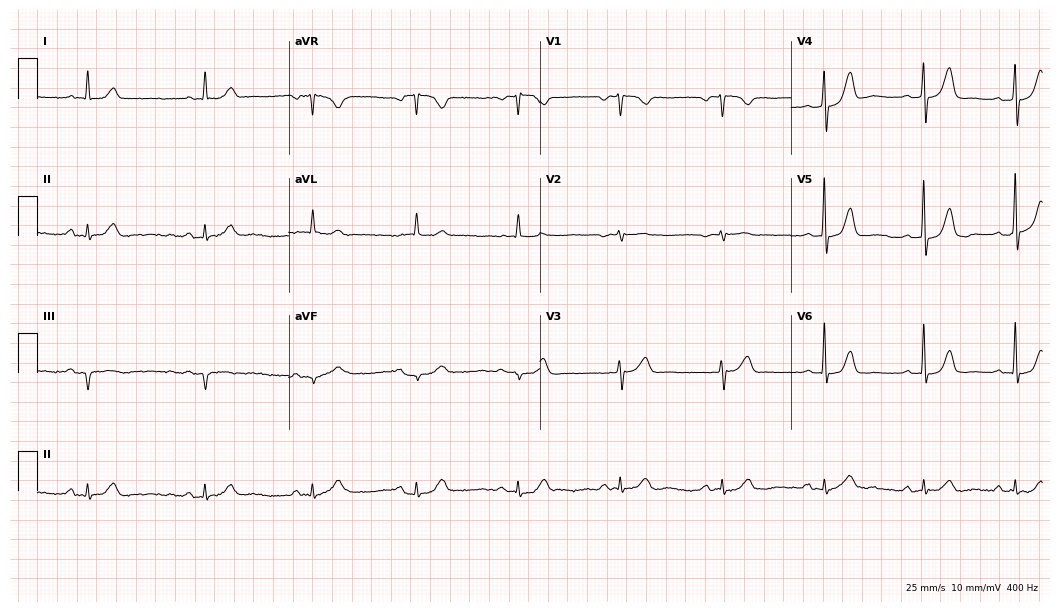
Resting 12-lead electrocardiogram. Patient: a 75-year-old male. Read as a normal ECG.